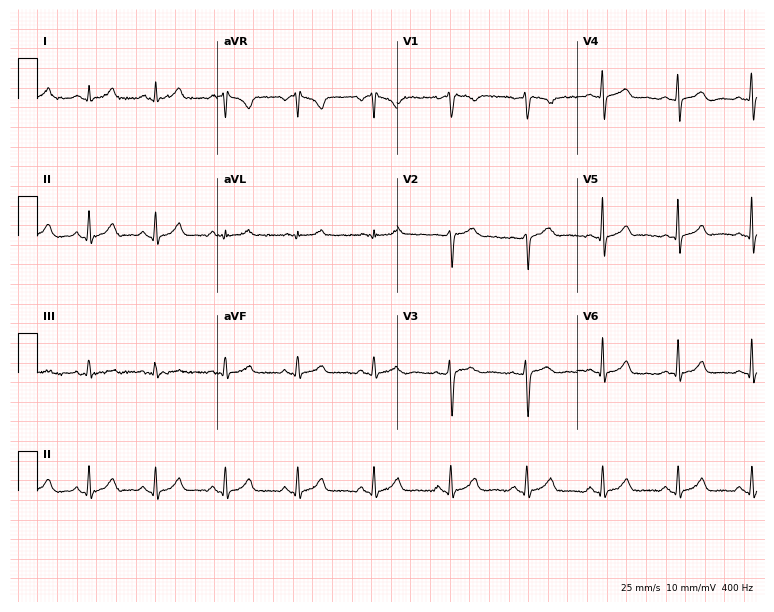
Standard 12-lead ECG recorded from a 47-year-old female patient. Read as a normal ECG.